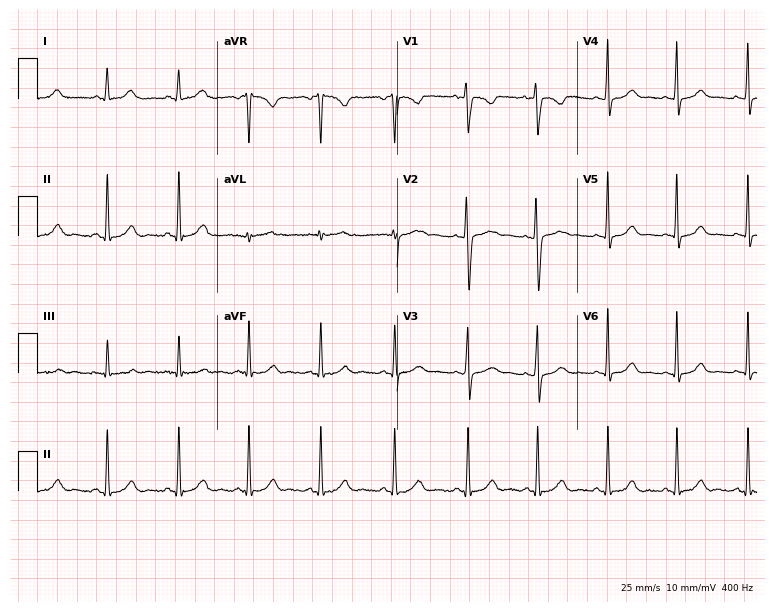
Resting 12-lead electrocardiogram (7.3-second recording at 400 Hz). Patient: a 24-year-old female. None of these six findings is recorded: first-degree AV block, right bundle branch block, left bundle branch block, sinus bradycardia, atrial fibrillation, sinus tachycardia. Only these six findings were labelled.